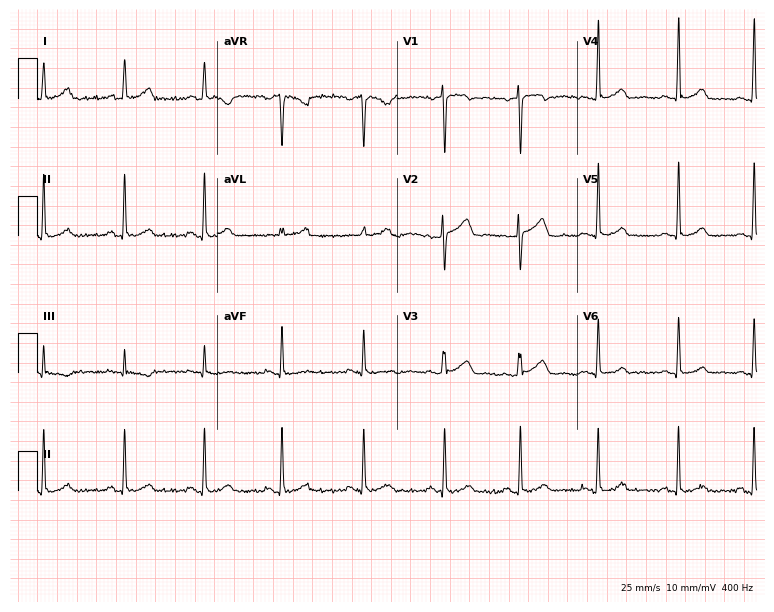
Electrocardiogram, a woman, 38 years old. Overall reading on record: normal ECG.